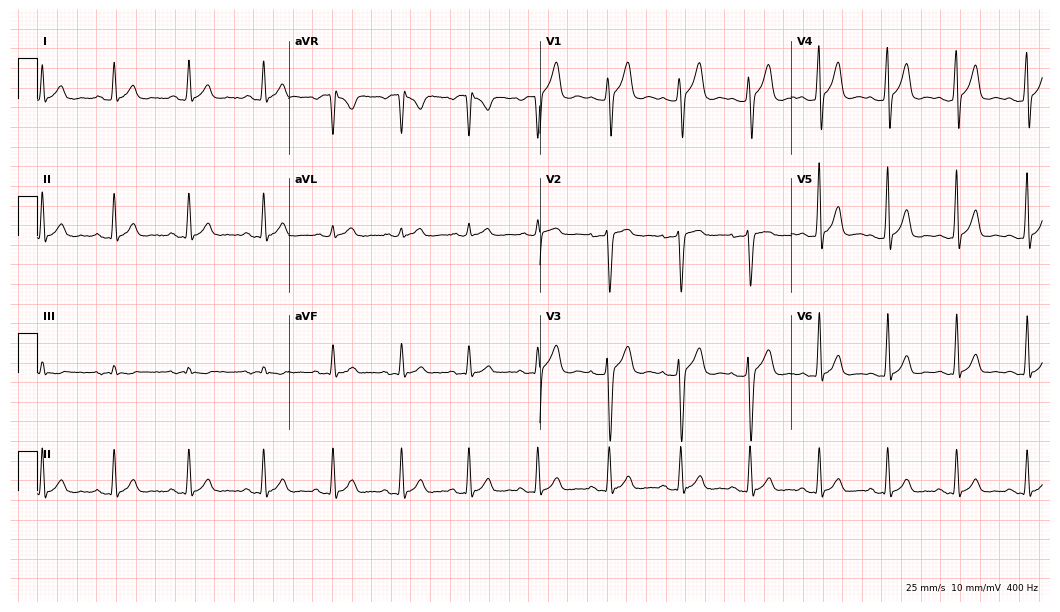
ECG (10.2-second recording at 400 Hz) — a 23-year-old male patient. Labelled as a normal ECG.